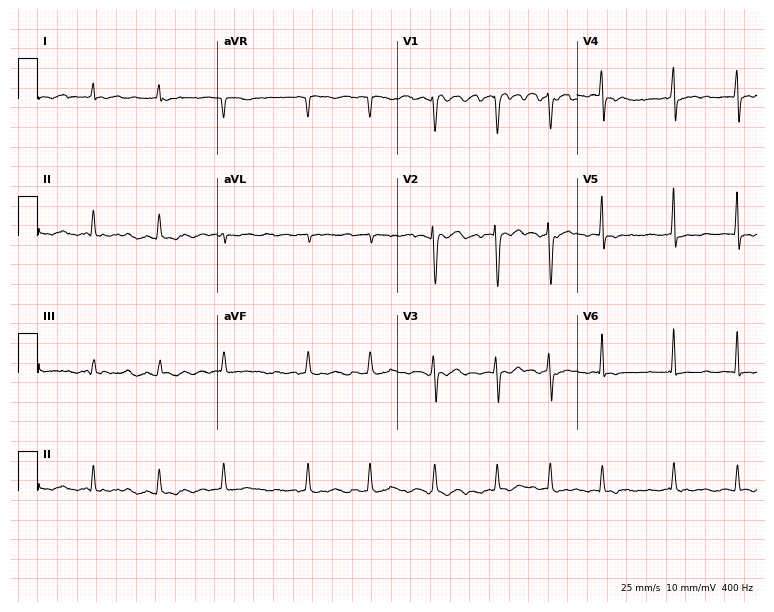
12-lead ECG from a woman, 51 years old. Findings include atrial fibrillation (AF).